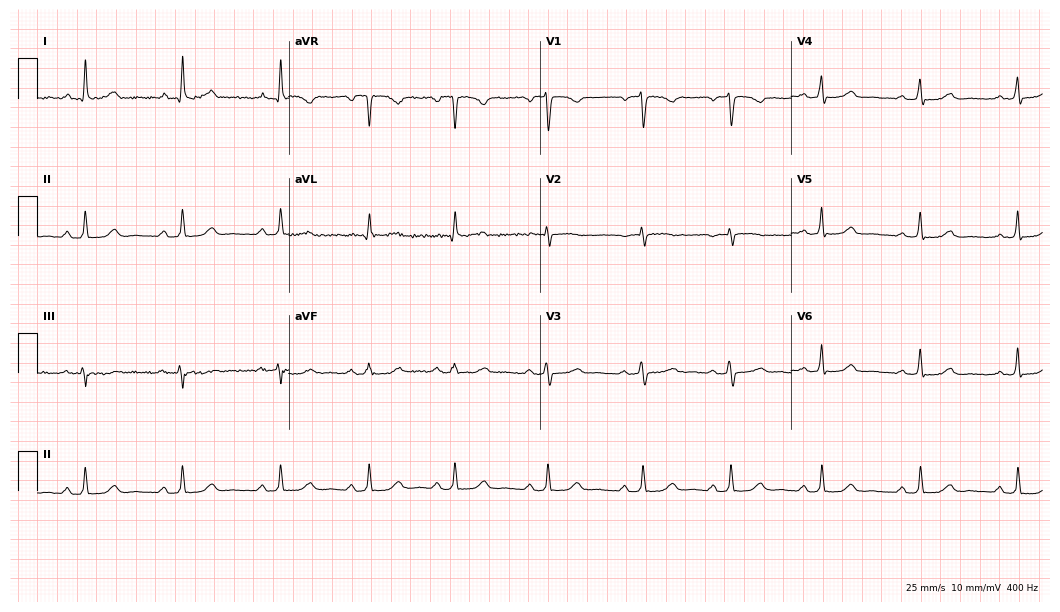
Electrocardiogram, a woman, 33 years old. Overall reading on record: normal ECG.